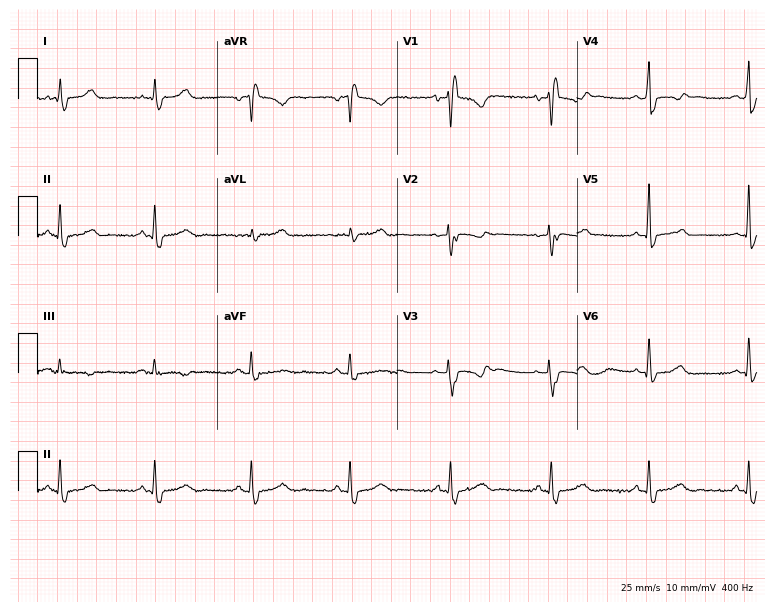
12-lead ECG from a 36-year-old female patient. Findings include right bundle branch block.